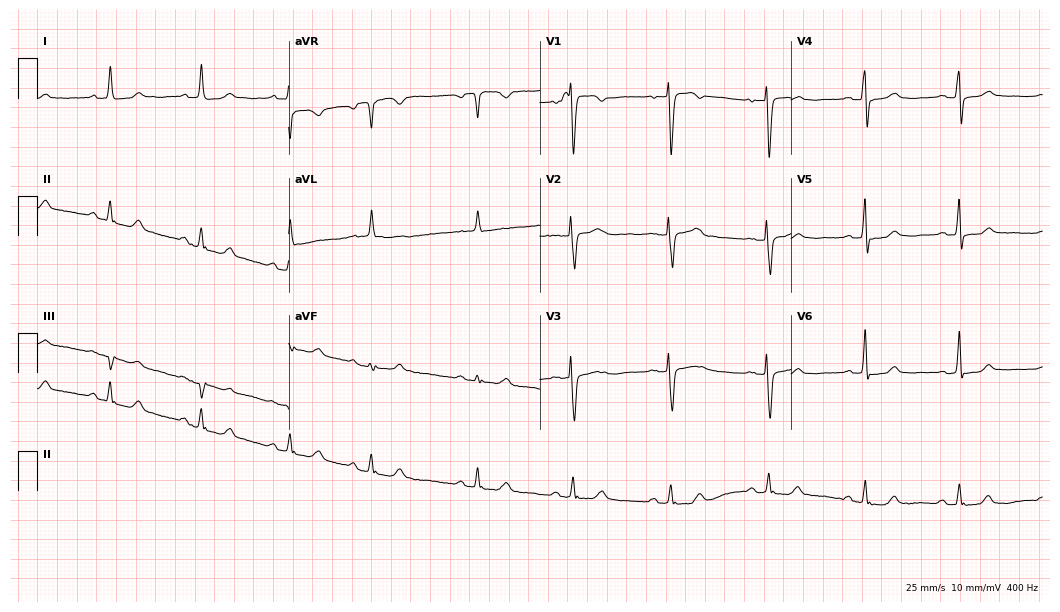
12-lead ECG (10.2-second recording at 400 Hz) from a 71-year-old woman. Labelled as a normal ECG.